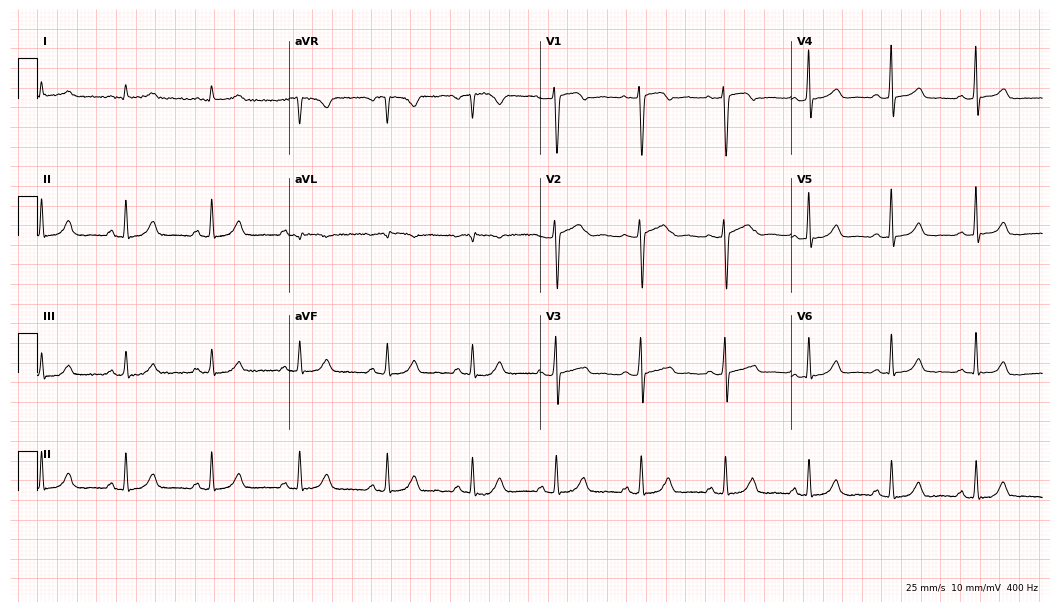
12-lead ECG (10.2-second recording at 400 Hz) from a woman, 54 years old. Labelled as a normal ECG.